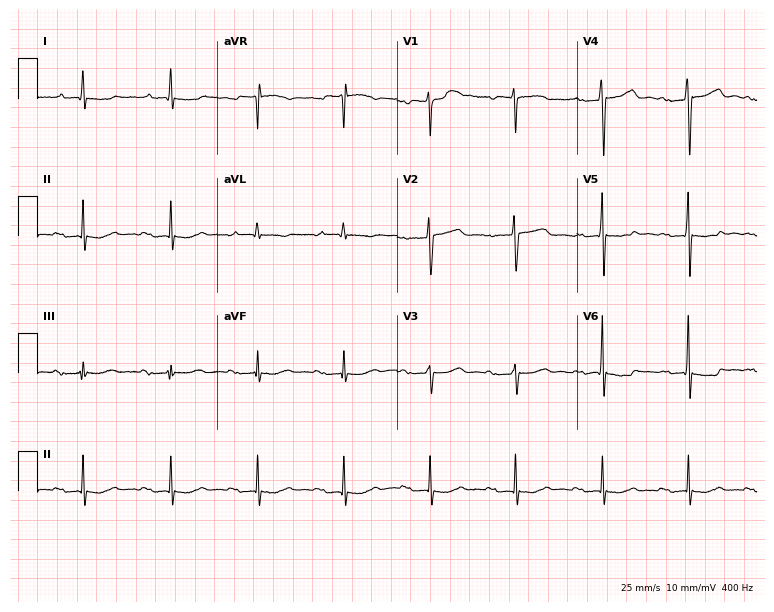
12-lead ECG from a 77-year-old male patient. Screened for six findings — first-degree AV block, right bundle branch block, left bundle branch block, sinus bradycardia, atrial fibrillation, sinus tachycardia — none is recorded. Other findings, if any, are not listed.